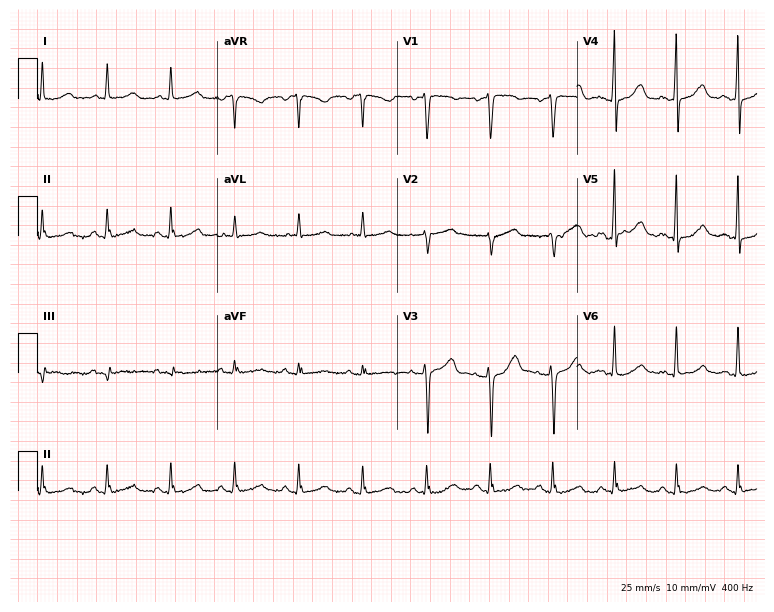
Electrocardiogram, a female patient, 48 years old. Overall reading on record: normal ECG.